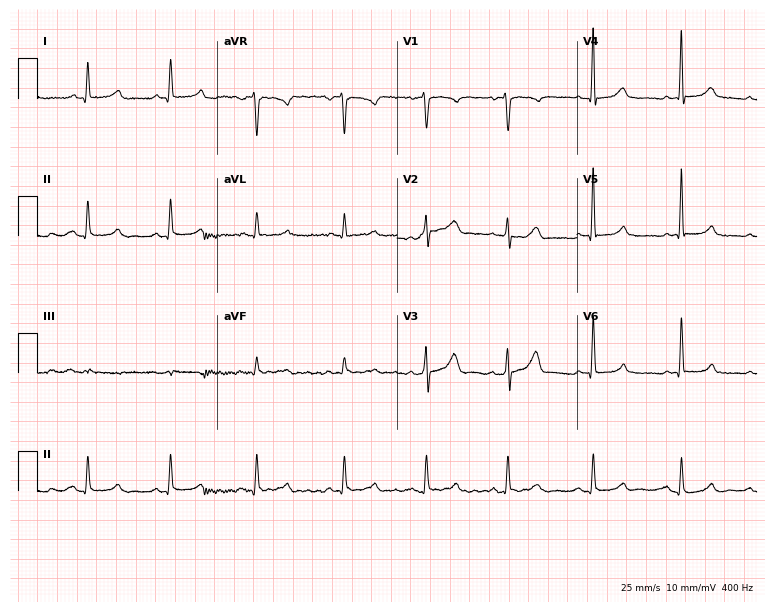
ECG — a 41-year-old woman. Labelled as a normal ECG.